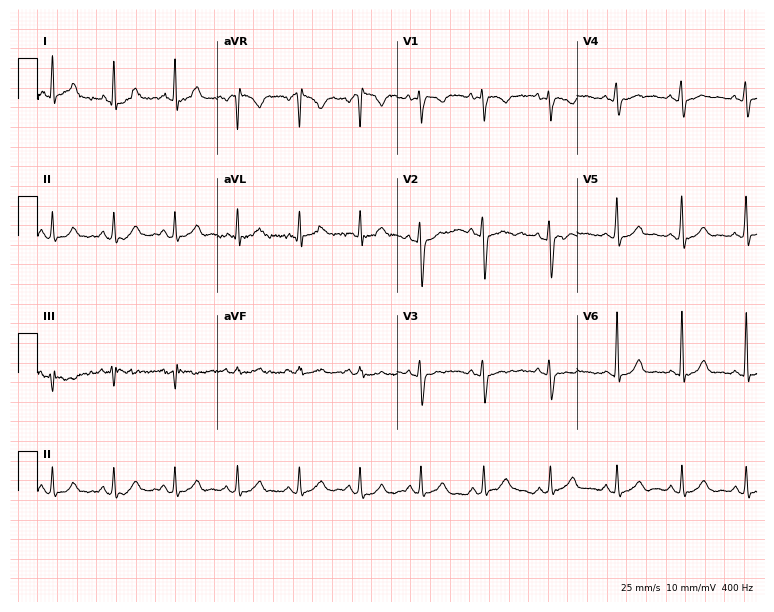
12-lead ECG (7.3-second recording at 400 Hz) from a man, 25 years old. Labelled as a normal ECG.